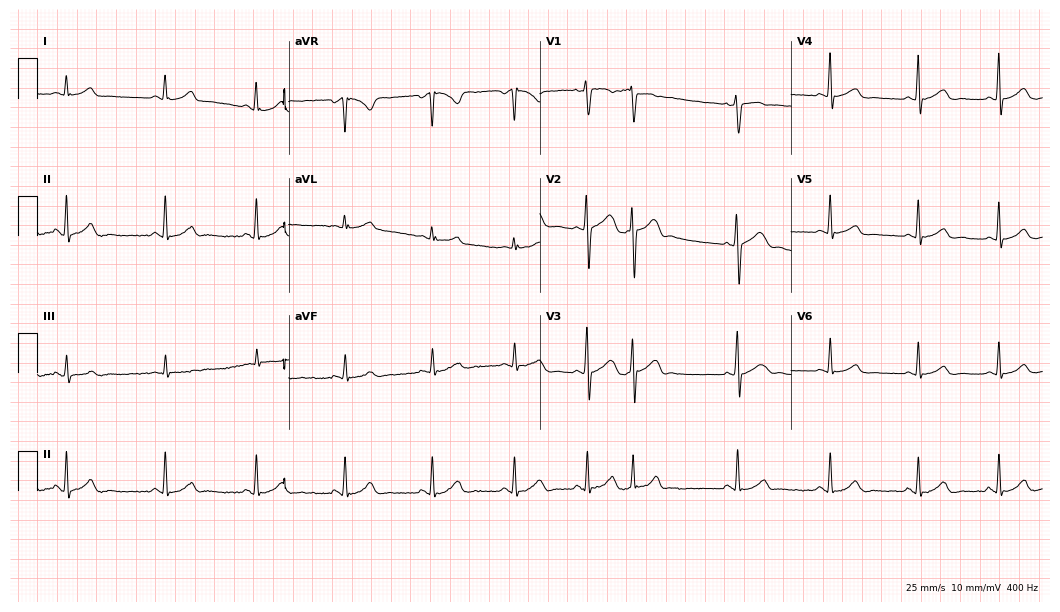
ECG (10.2-second recording at 400 Hz) — a woman, 21 years old. Screened for six findings — first-degree AV block, right bundle branch block, left bundle branch block, sinus bradycardia, atrial fibrillation, sinus tachycardia — none is recorded. Only these six findings were labelled.